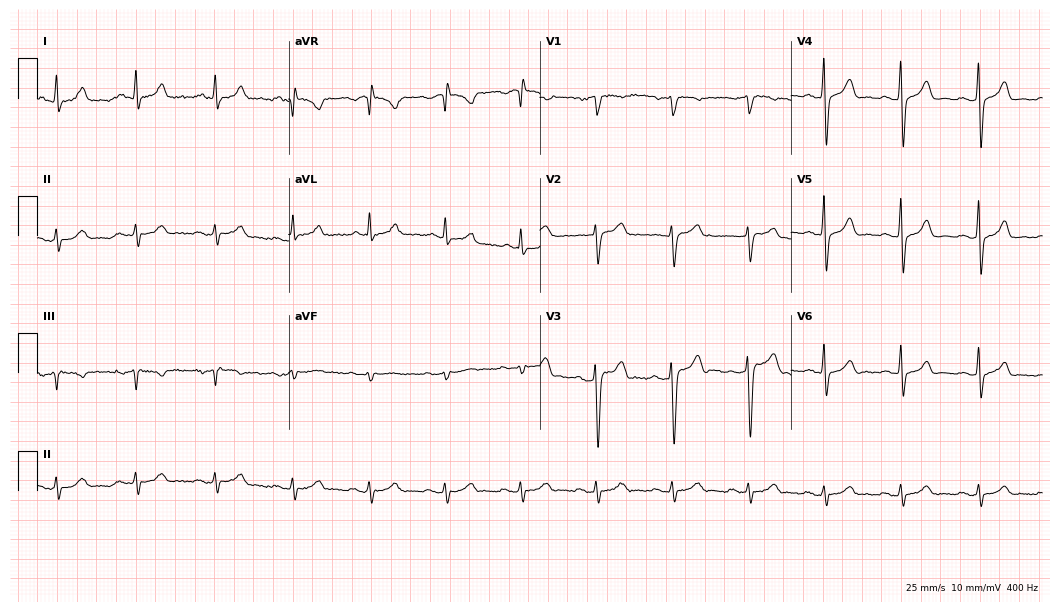
Electrocardiogram, a 54-year-old male. Overall reading on record: normal ECG.